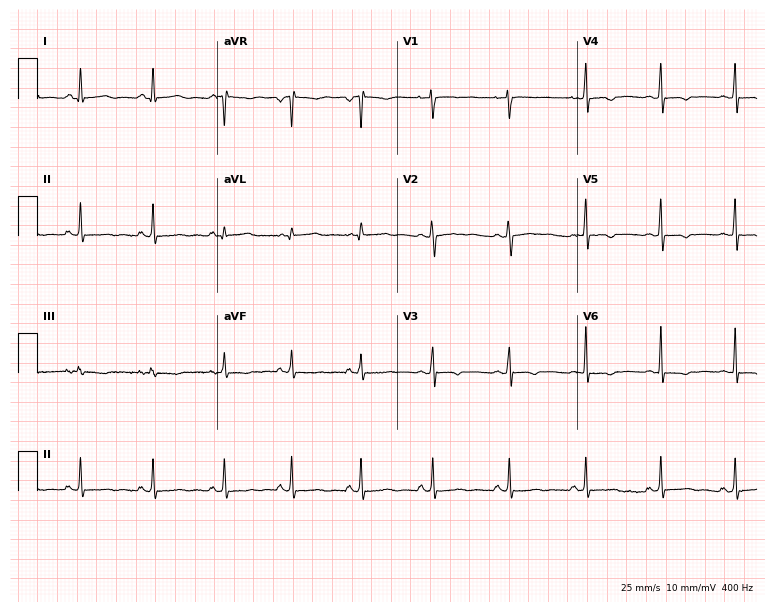
Standard 12-lead ECG recorded from a female patient, 31 years old. None of these six findings is recorded: first-degree AV block, right bundle branch block, left bundle branch block, sinus bradycardia, atrial fibrillation, sinus tachycardia. Only these six findings were labelled.